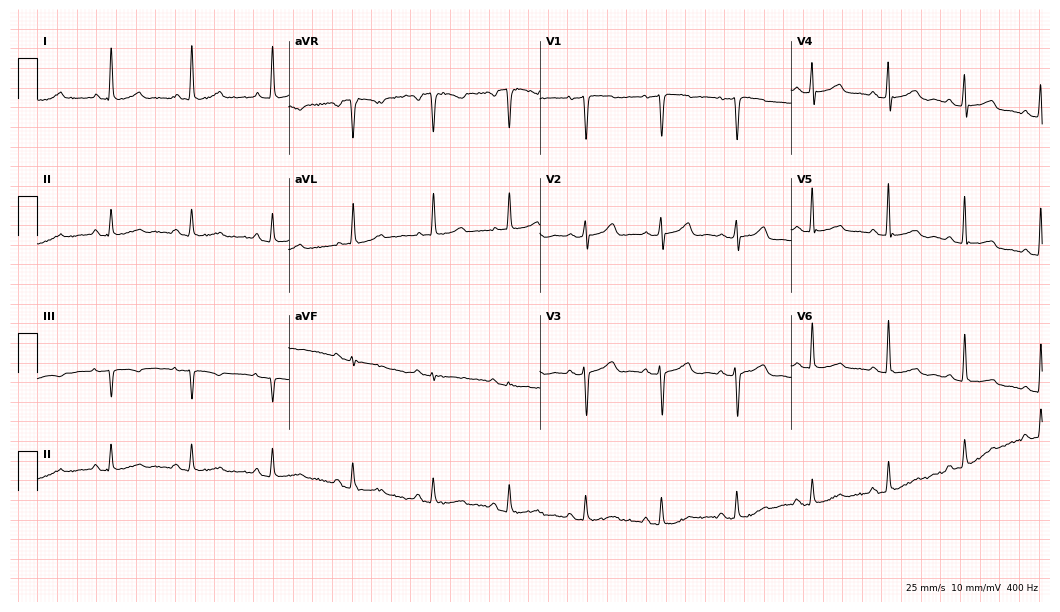
12-lead ECG from a female, 67 years old (10.2-second recording at 400 Hz). Recorded interpretation: within normal limits.